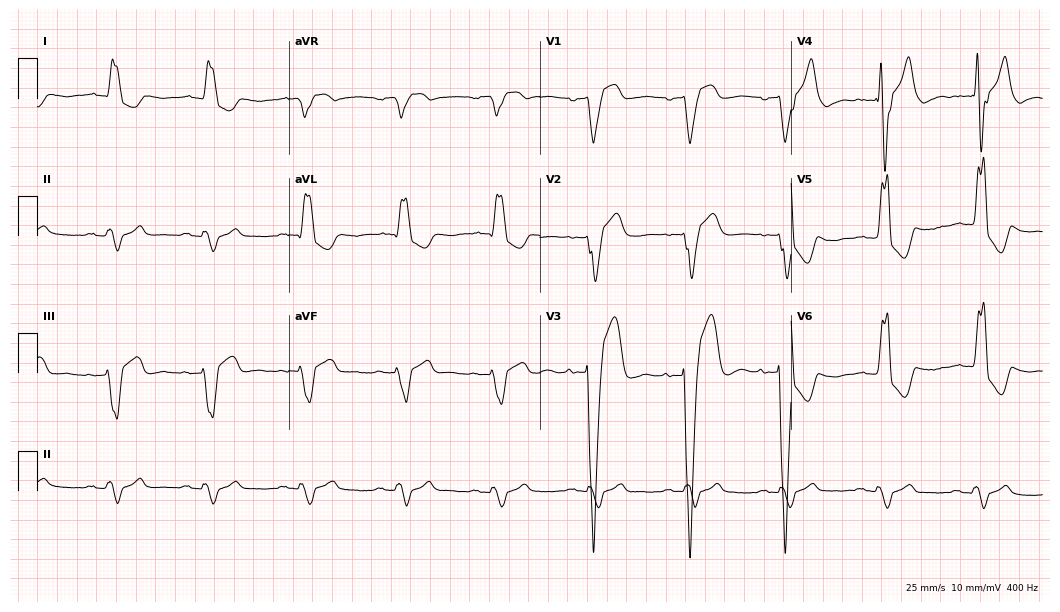
12-lead ECG from a male patient, 81 years old (10.2-second recording at 400 Hz). No first-degree AV block, right bundle branch block (RBBB), left bundle branch block (LBBB), sinus bradycardia, atrial fibrillation (AF) or sinus tachycardia recorded for this tracing.